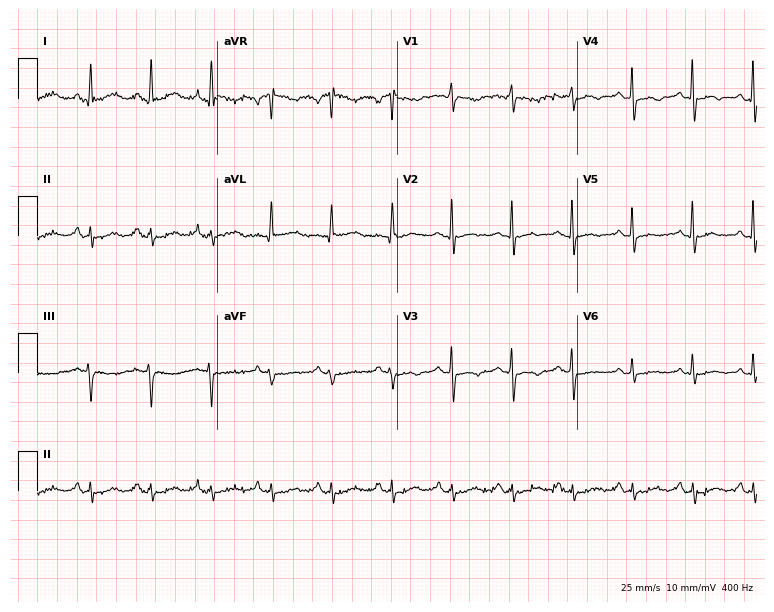
Standard 12-lead ECG recorded from a female patient, 62 years old. Read as a normal ECG.